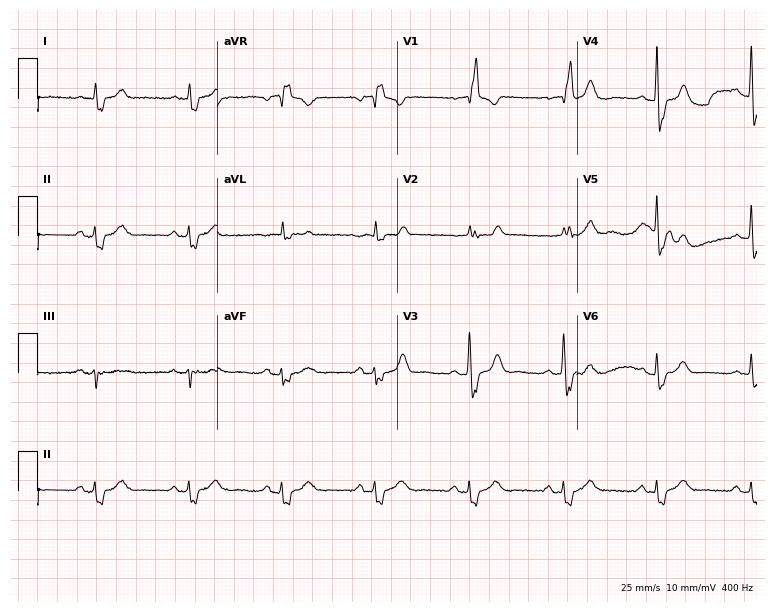
12-lead ECG from a 66-year-old male patient. Findings include right bundle branch block.